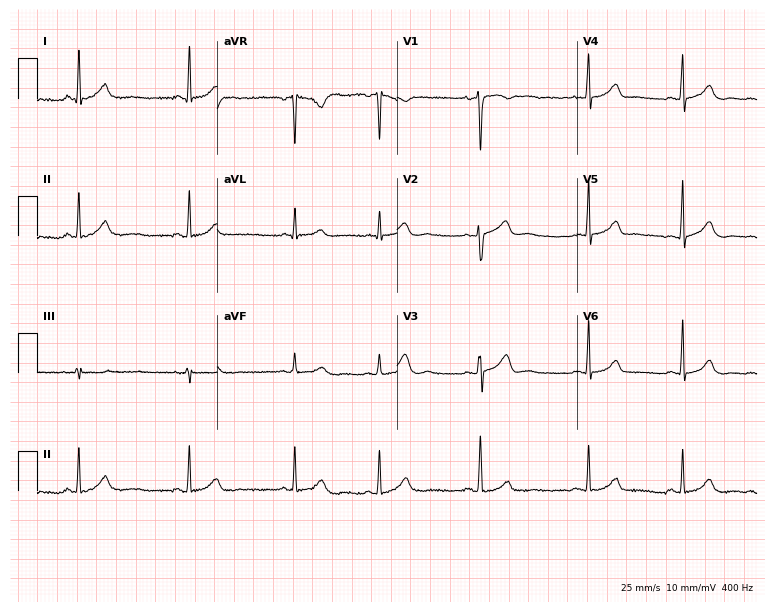
Standard 12-lead ECG recorded from a 31-year-old female patient (7.3-second recording at 400 Hz). Read as a normal ECG.